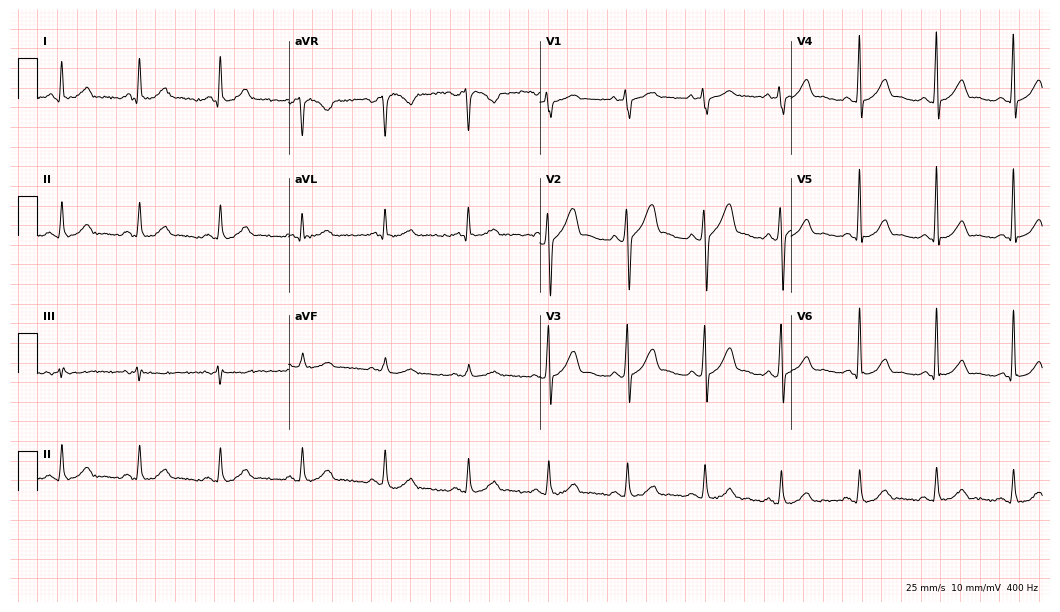
ECG (10.2-second recording at 400 Hz) — a male, 38 years old. Labelled as a normal ECG.